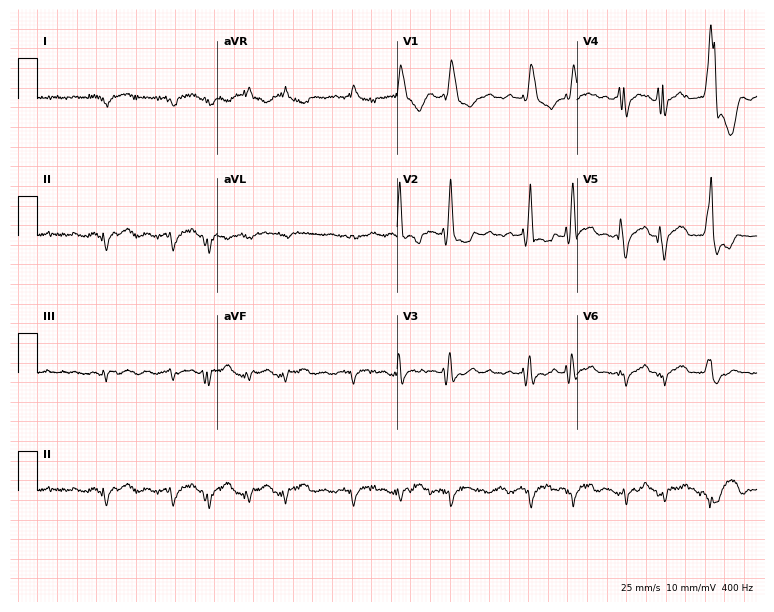
Electrocardiogram (7.3-second recording at 400 Hz), a male patient, 61 years old. Interpretation includes right bundle branch block (RBBB), atrial fibrillation (AF).